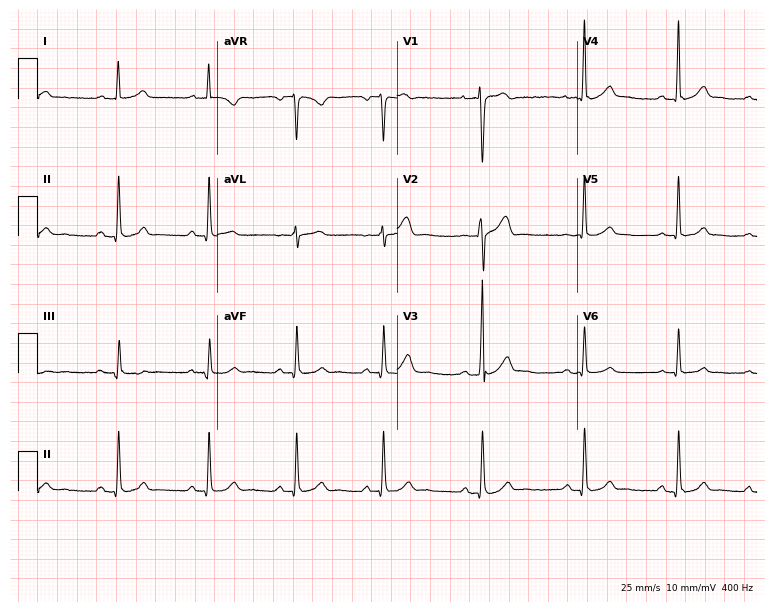
Resting 12-lead electrocardiogram. Patient: a 23-year-old male. None of these six findings is recorded: first-degree AV block, right bundle branch block (RBBB), left bundle branch block (LBBB), sinus bradycardia, atrial fibrillation (AF), sinus tachycardia.